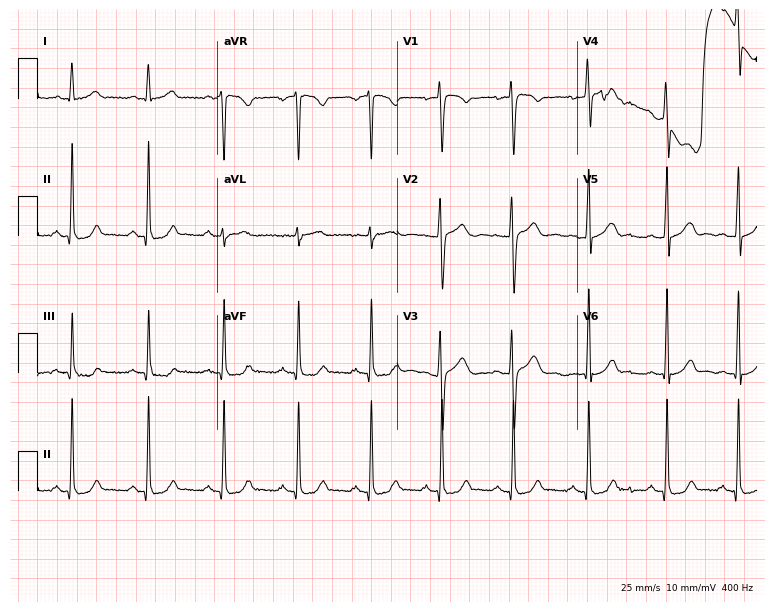
Electrocardiogram, a 23-year-old woman. Overall reading on record: normal ECG.